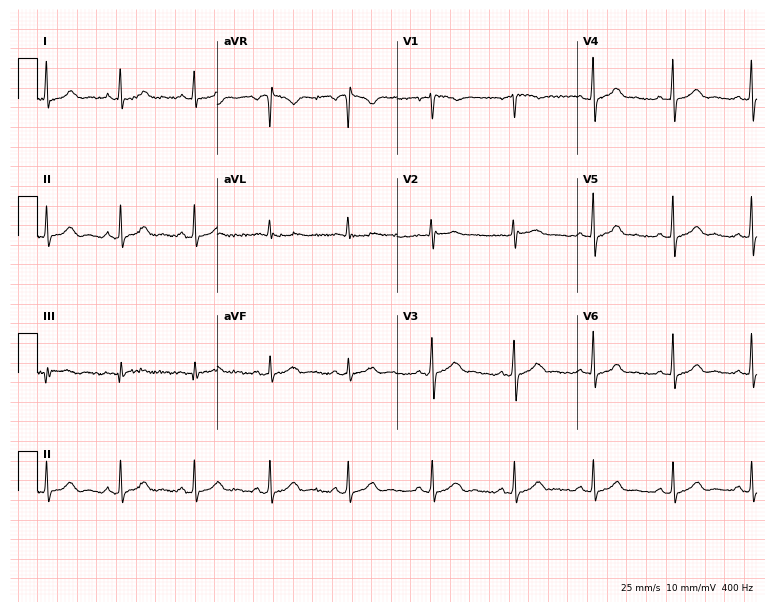
Resting 12-lead electrocardiogram (7.3-second recording at 400 Hz). Patient: a woman, 29 years old. None of these six findings is recorded: first-degree AV block, right bundle branch block, left bundle branch block, sinus bradycardia, atrial fibrillation, sinus tachycardia. Other findings, if any, are not listed.